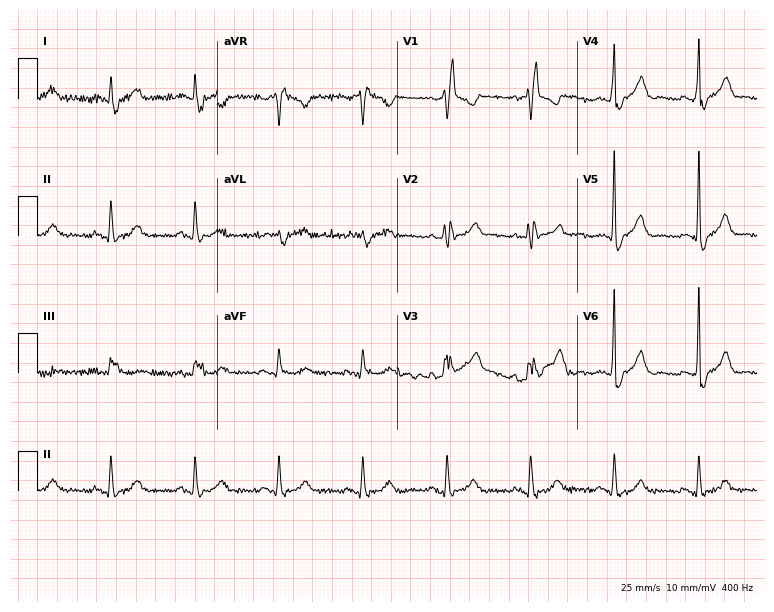
Resting 12-lead electrocardiogram (7.3-second recording at 400 Hz). Patient: a male, 75 years old. The tracing shows right bundle branch block (RBBB).